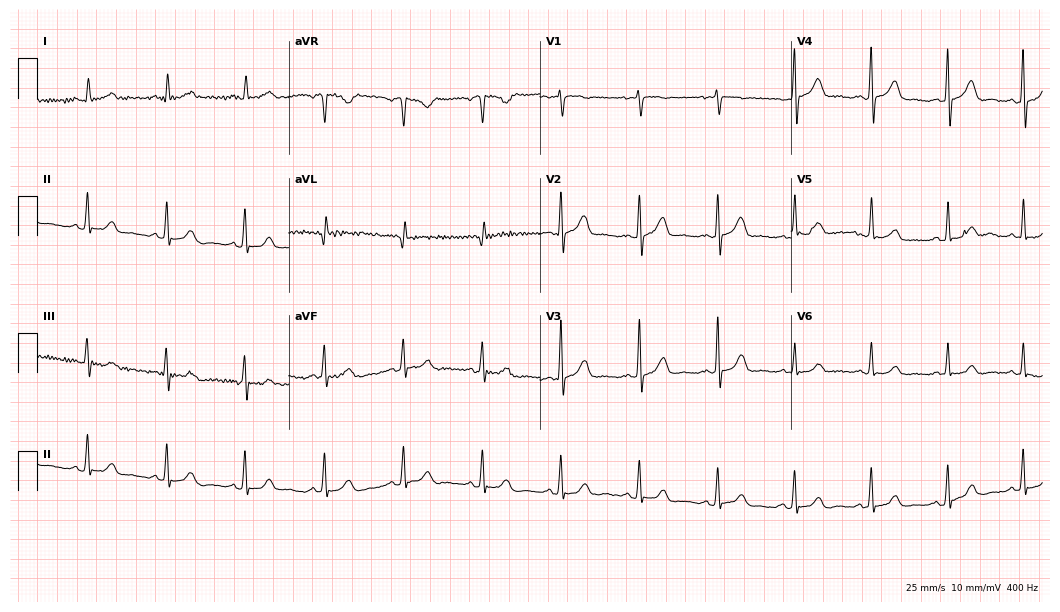
Electrocardiogram, a 68-year-old female patient. Overall reading on record: normal ECG.